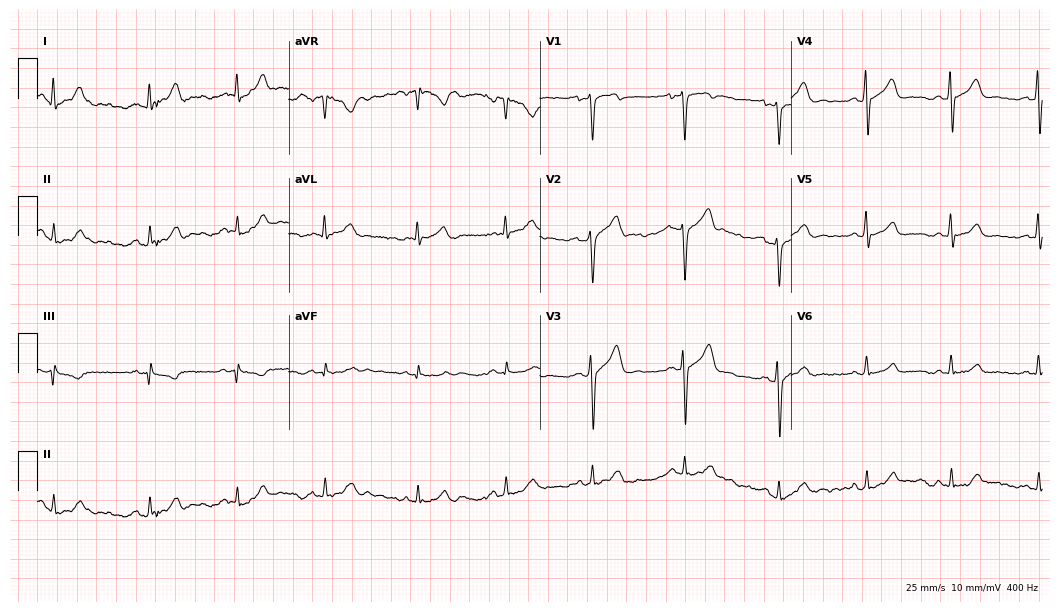
12-lead ECG (10.2-second recording at 400 Hz) from a man, 32 years old. Screened for six findings — first-degree AV block, right bundle branch block, left bundle branch block, sinus bradycardia, atrial fibrillation, sinus tachycardia — none is recorded.